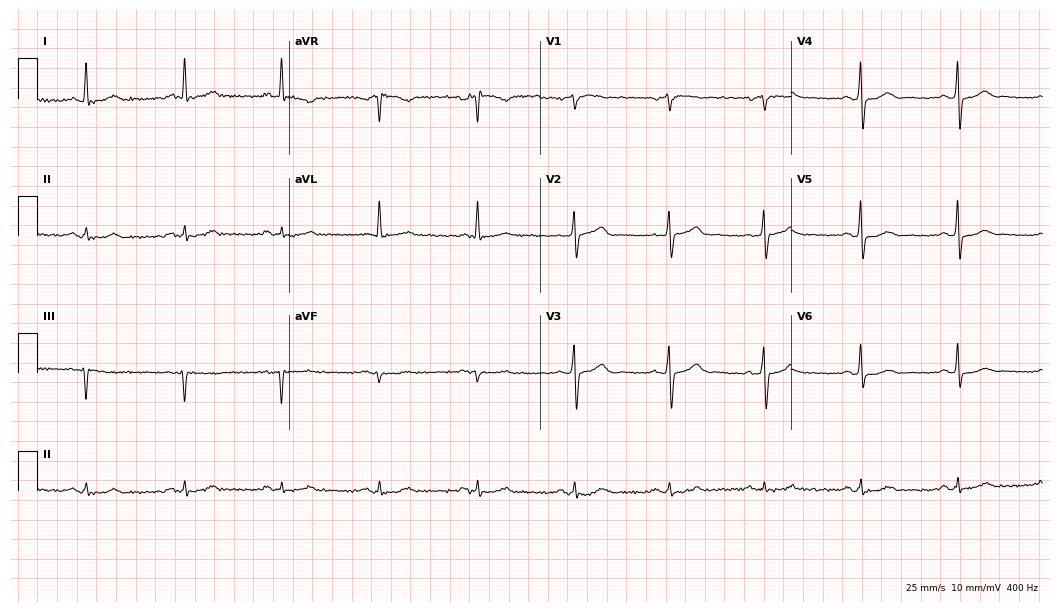
Standard 12-lead ECG recorded from a male patient, 70 years old (10.2-second recording at 400 Hz). Read as a normal ECG.